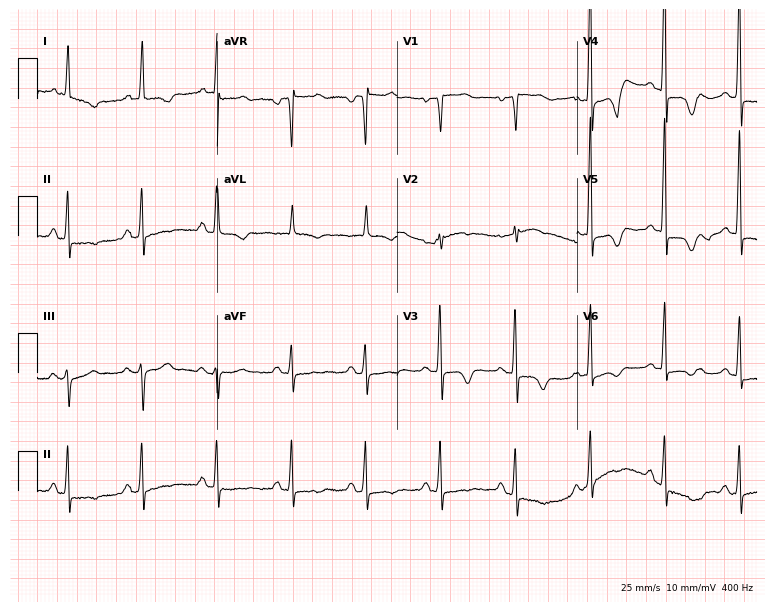
ECG — an 83-year-old female patient. Screened for six findings — first-degree AV block, right bundle branch block (RBBB), left bundle branch block (LBBB), sinus bradycardia, atrial fibrillation (AF), sinus tachycardia — none is recorded. Findings outside these six are not listed.